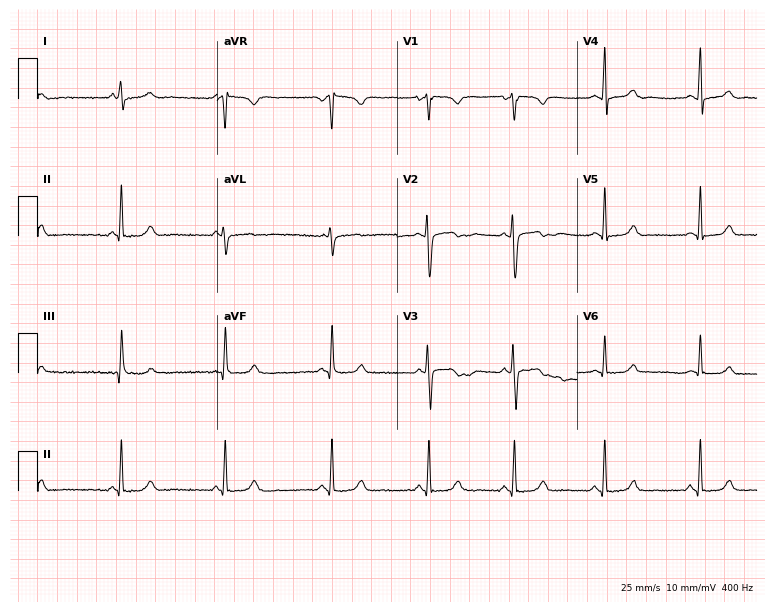
ECG — a female, 17 years old. Screened for six findings — first-degree AV block, right bundle branch block, left bundle branch block, sinus bradycardia, atrial fibrillation, sinus tachycardia — none is recorded. Only these six findings were labelled.